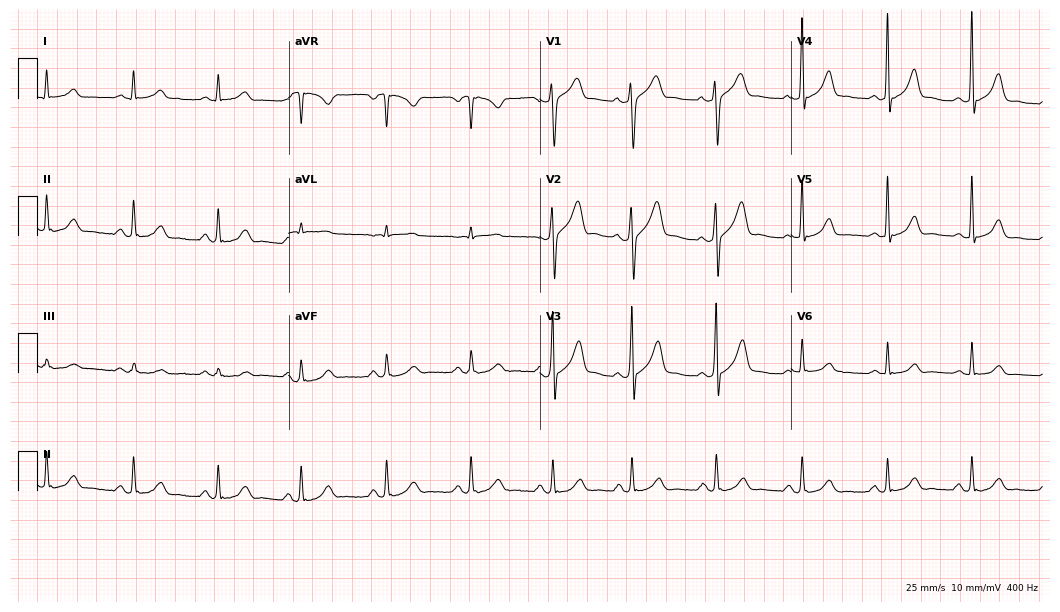
Electrocardiogram, a man, 56 years old. Overall reading on record: normal ECG.